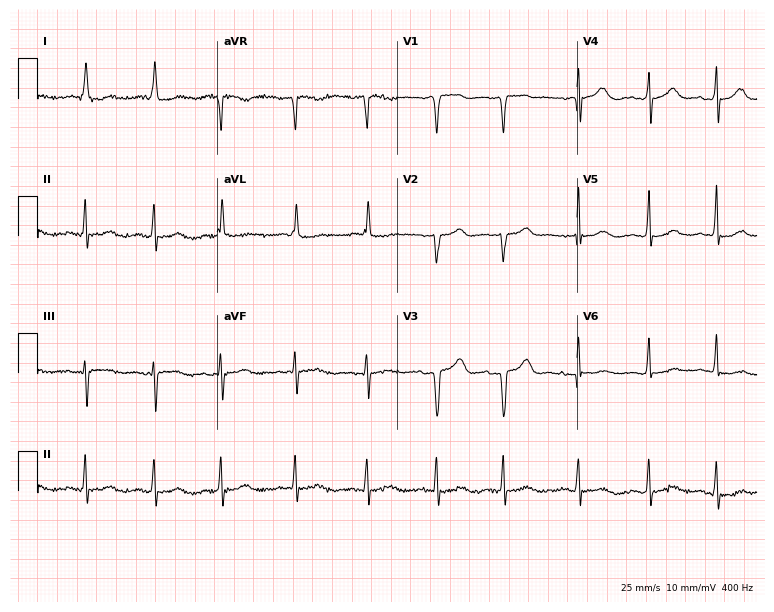
Resting 12-lead electrocardiogram (7.3-second recording at 400 Hz). Patient: a female, 84 years old. None of these six findings is recorded: first-degree AV block, right bundle branch block (RBBB), left bundle branch block (LBBB), sinus bradycardia, atrial fibrillation (AF), sinus tachycardia.